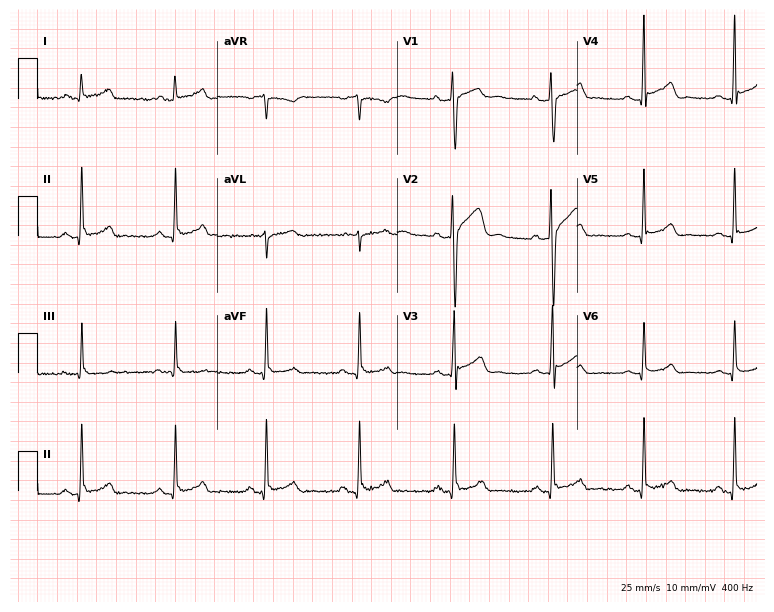
Electrocardiogram (7.3-second recording at 400 Hz), a 28-year-old male patient. Of the six screened findings (first-degree AV block, right bundle branch block, left bundle branch block, sinus bradycardia, atrial fibrillation, sinus tachycardia), none is recorded.